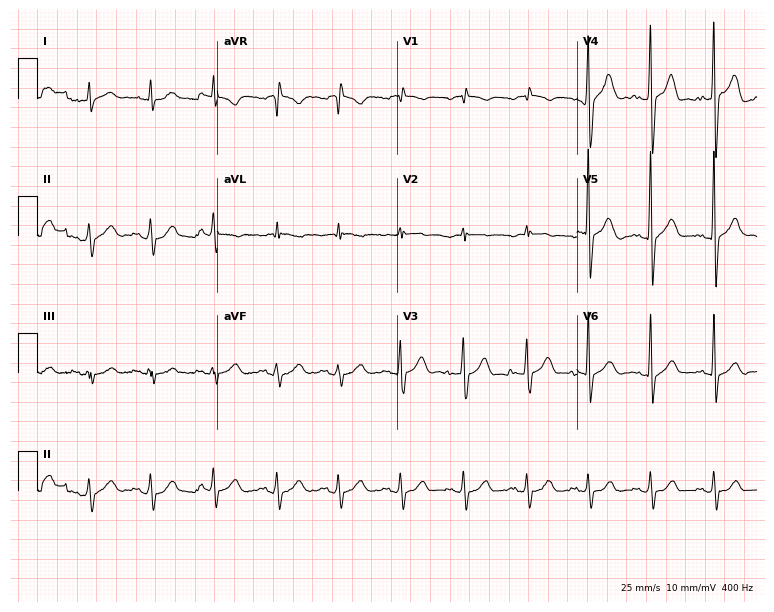
12-lead ECG from an 85-year-old male (7.3-second recording at 400 Hz). Recorded interpretation: within normal limits.